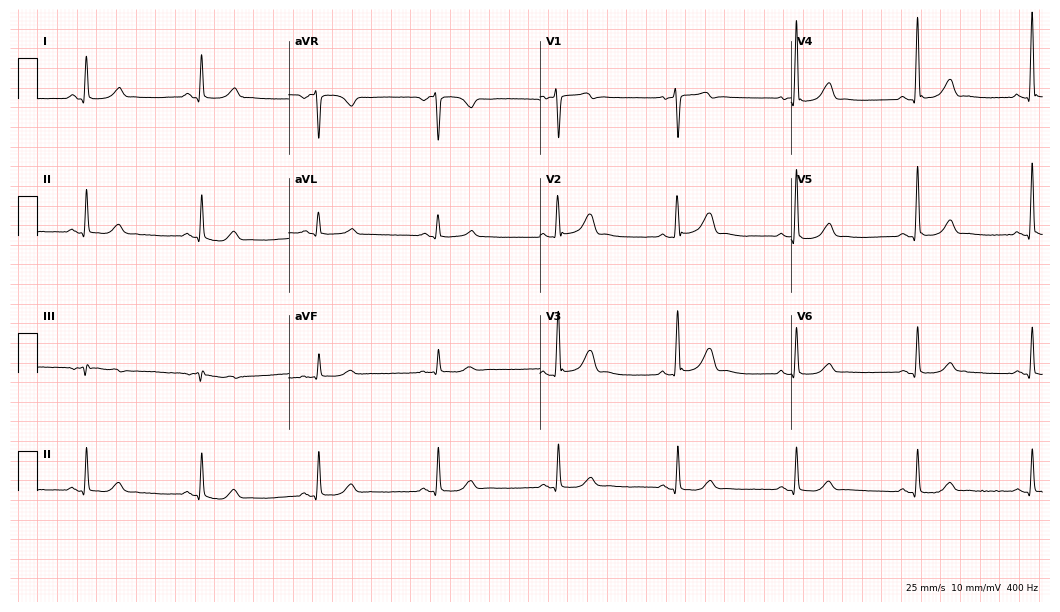
Resting 12-lead electrocardiogram. Patient: a 75-year-old male. Read as a normal ECG.